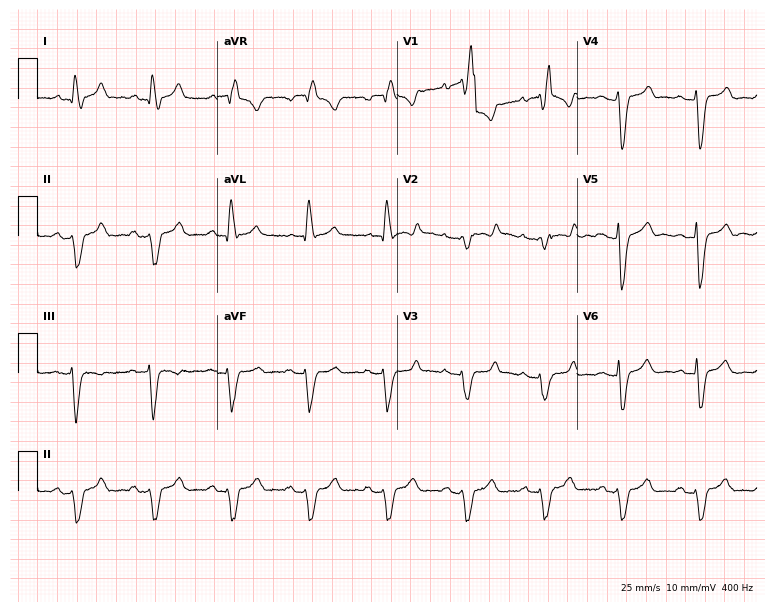
12-lead ECG (7.3-second recording at 400 Hz) from a male patient, 45 years old. Findings include right bundle branch block.